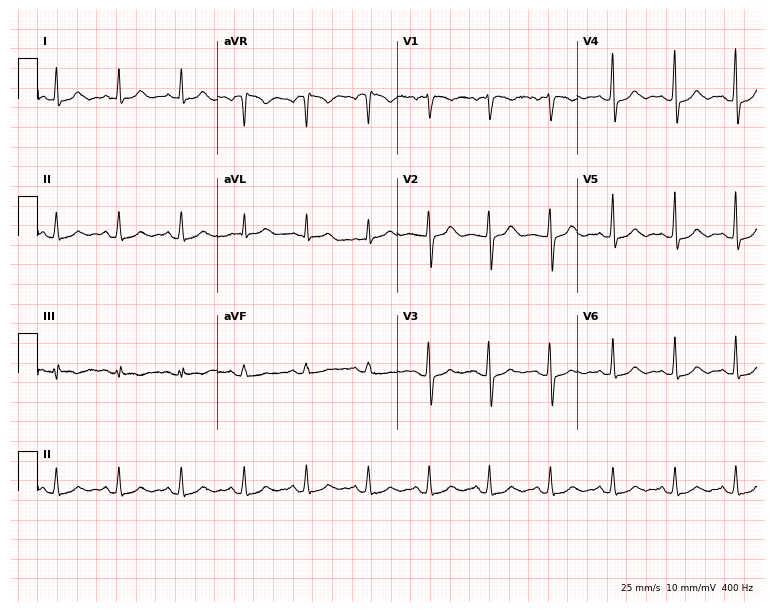
12-lead ECG from a 42-year-old female patient (7.3-second recording at 400 Hz). Recorded interpretation: within normal limits.